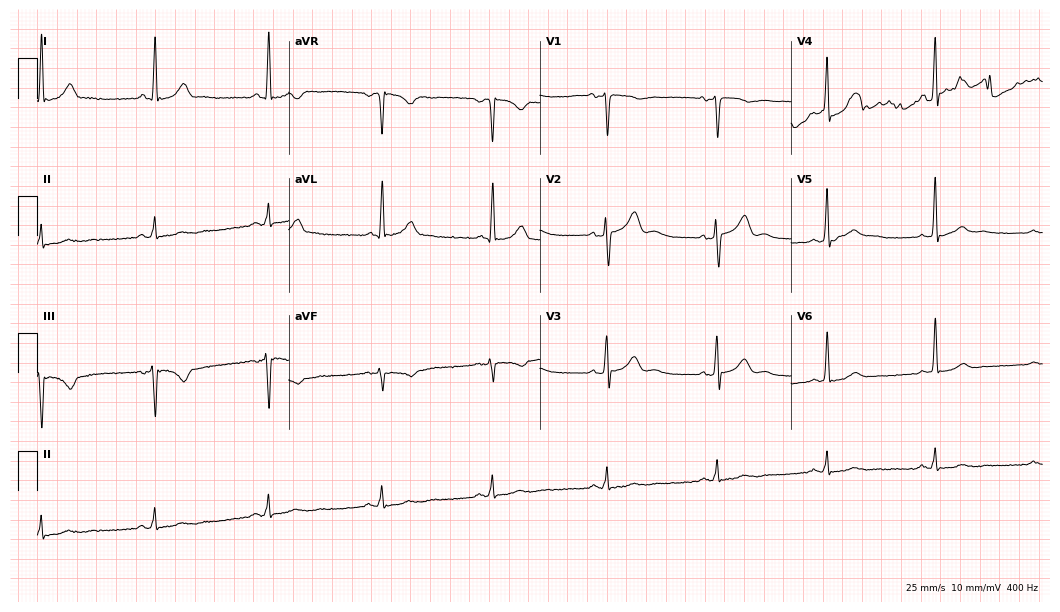
Electrocardiogram (10.2-second recording at 400 Hz), a 54-year-old male patient. Of the six screened findings (first-degree AV block, right bundle branch block (RBBB), left bundle branch block (LBBB), sinus bradycardia, atrial fibrillation (AF), sinus tachycardia), none is recorded. Other findings, if any, are not listed.